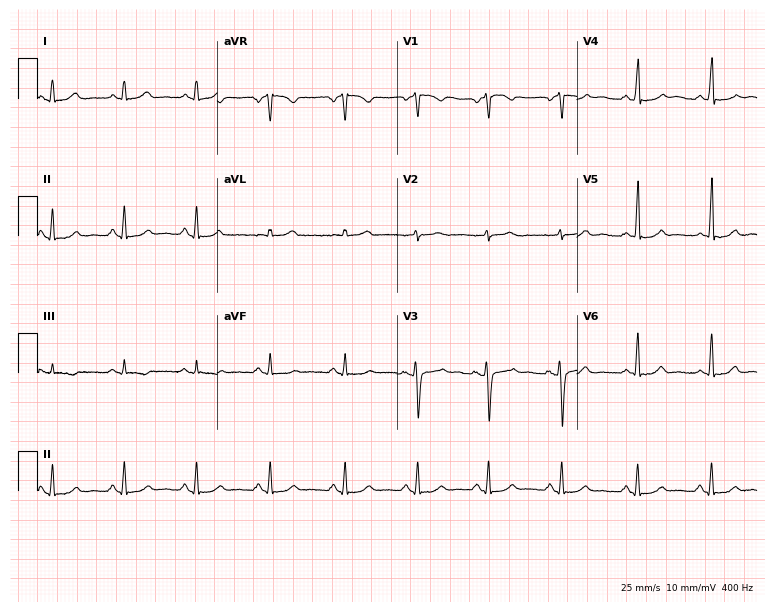
12-lead ECG from a woman, 47 years old. Labelled as a normal ECG.